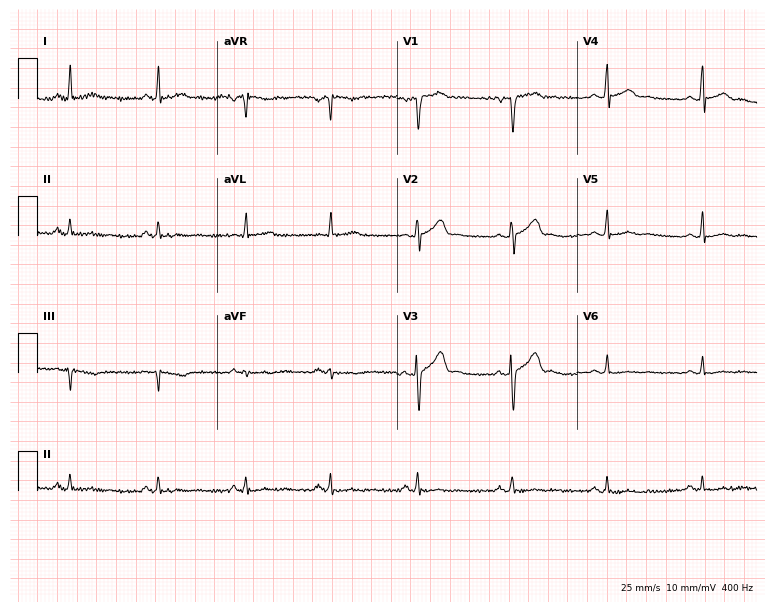
12-lead ECG from a 39-year-old male patient. No first-degree AV block, right bundle branch block (RBBB), left bundle branch block (LBBB), sinus bradycardia, atrial fibrillation (AF) or sinus tachycardia recorded for this tracing.